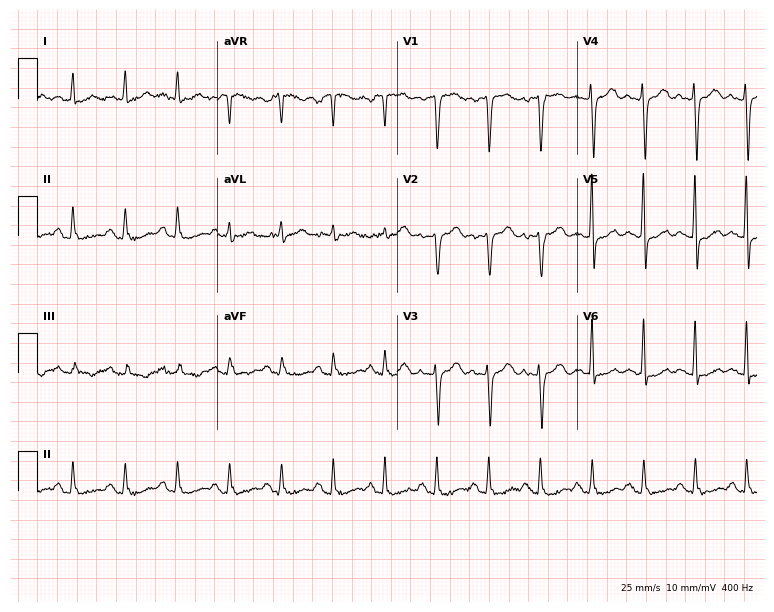
Electrocardiogram (7.3-second recording at 400 Hz), a 67-year-old female. Interpretation includes sinus tachycardia (a sinus rate of 100 beats per minute or more).